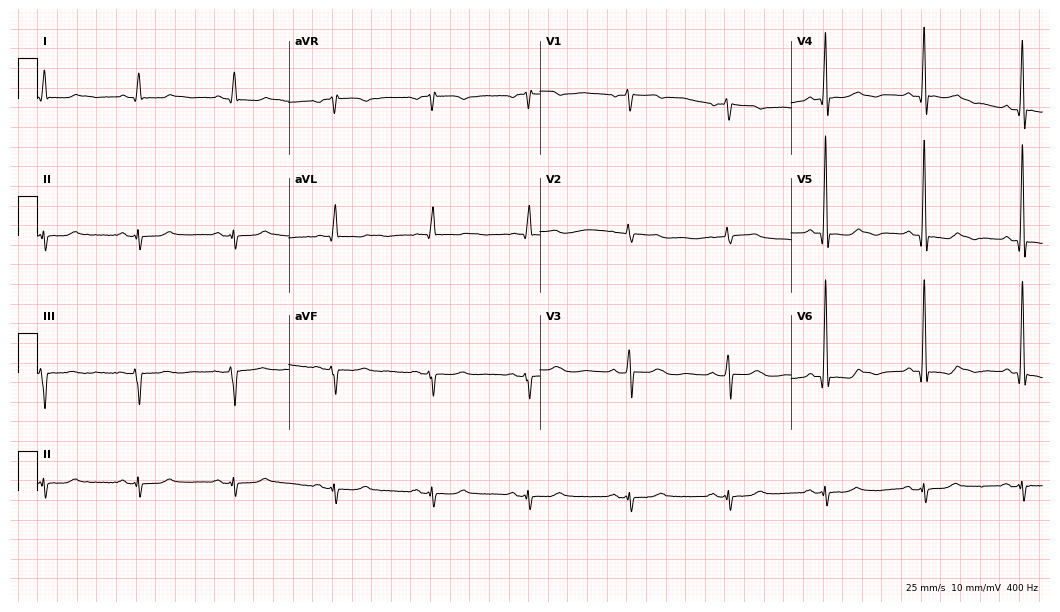
12-lead ECG from a male, 85 years old. No first-degree AV block, right bundle branch block, left bundle branch block, sinus bradycardia, atrial fibrillation or sinus tachycardia recorded for this tracing.